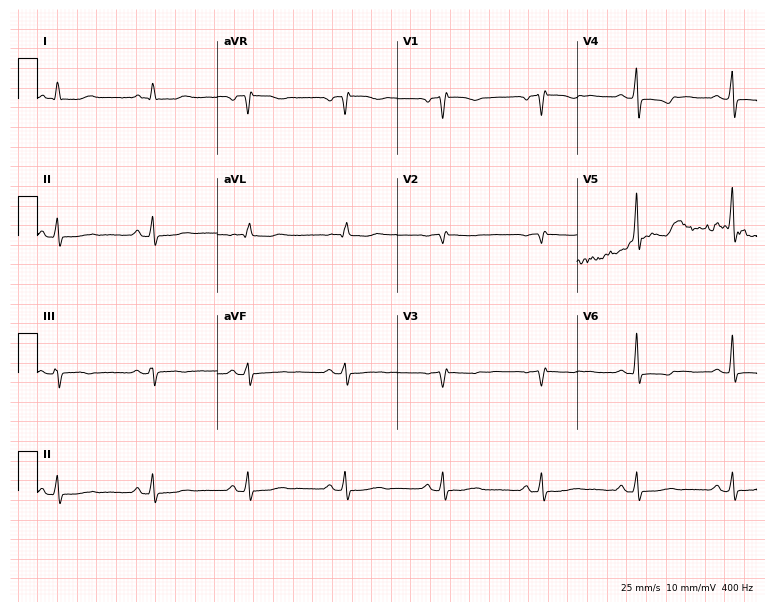
Standard 12-lead ECG recorded from a 69-year-old female patient (7.3-second recording at 400 Hz). None of these six findings is recorded: first-degree AV block, right bundle branch block (RBBB), left bundle branch block (LBBB), sinus bradycardia, atrial fibrillation (AF), sinus tachycardia. Findings outside these six are not listed.